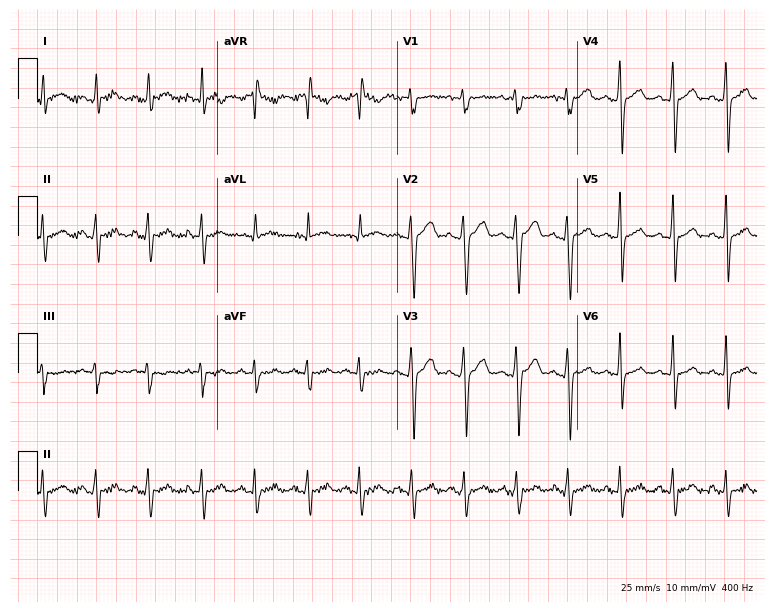
12-lead ECG (7.3-second recording at 400 Hz) from a male patient, 32 years old. Findings include sinus tachycardia (a sinus rate of 100 beats per minute or more).